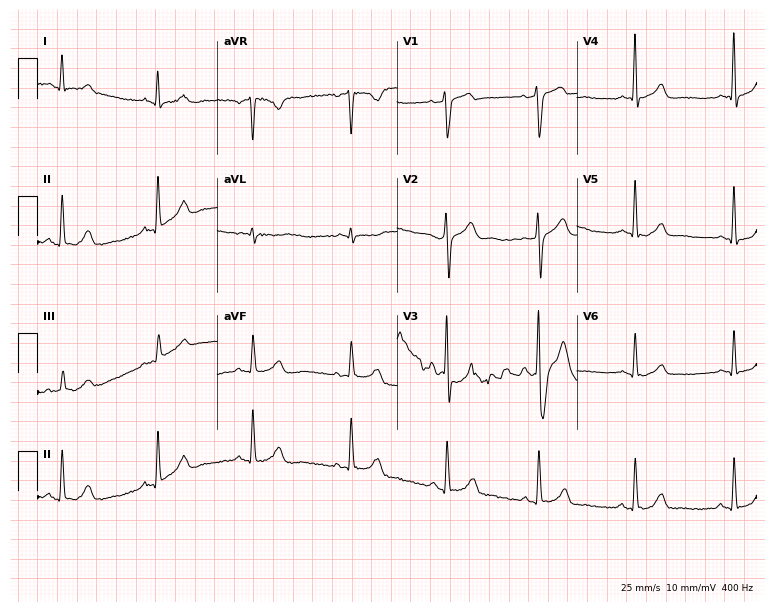
12-lead ECG from a 58-year-old male. No first-degree AV block, right bundle branch block, left bundle branch block, sinus bradycardia, atrial fibrillation or sinus tachycardia recorded for this tracing.